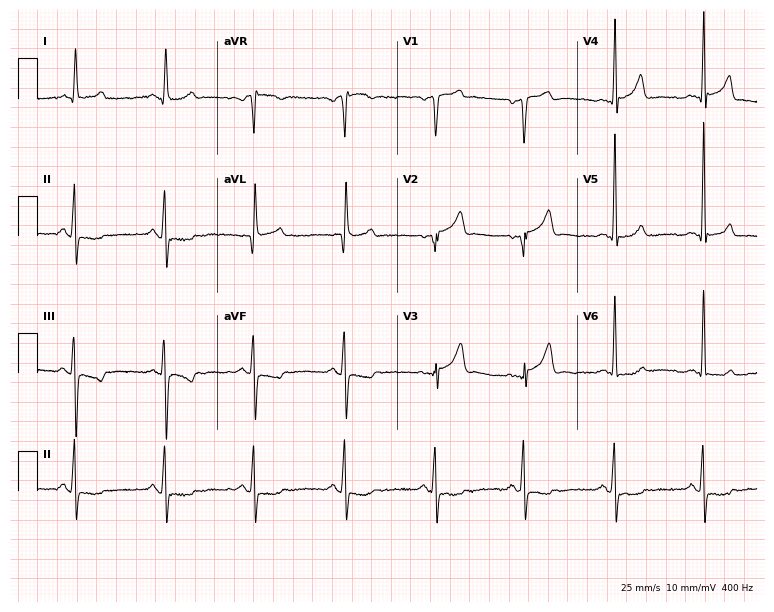
Standard 12-lead ECG recorded from a man, 73 years old (7.3-second recording at 400 Hz). None of these six findings is recorded: first-degree AV block, right bundle branch block, left bundle branch block, sinus bradycardia, atrial fibrillation, sinus tachycardia. Other findings, if any, are not listed.